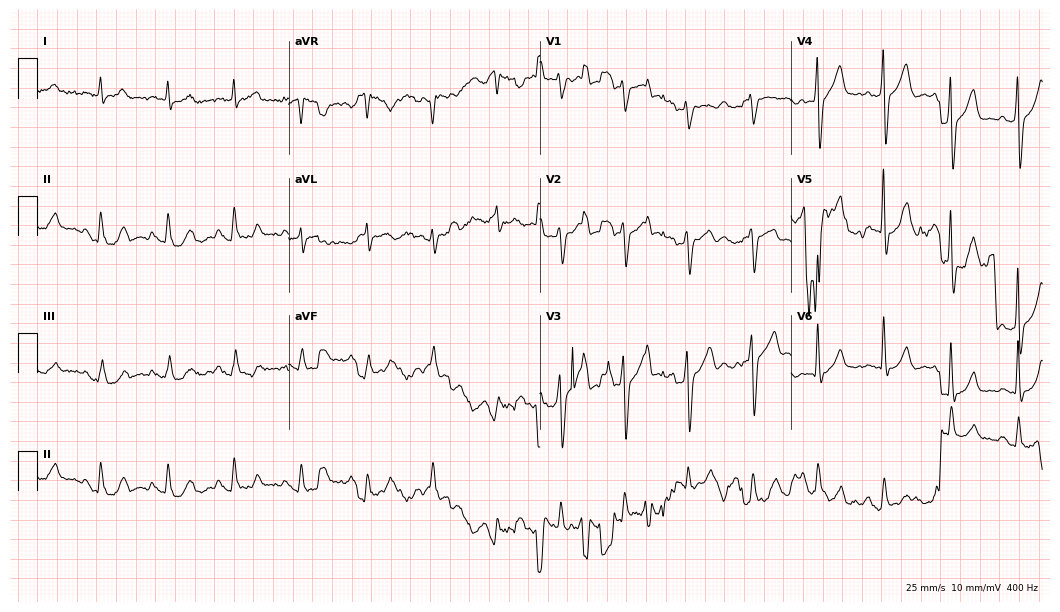
Resting 12-lead electrocardiogram. Patient: a male, 58 years old. None of these six findings is recorded: first-degree AV block, right bundle branch block, left bundle branch block, sinus bradycardia, atrial fibrillation, sinus tachycardia.